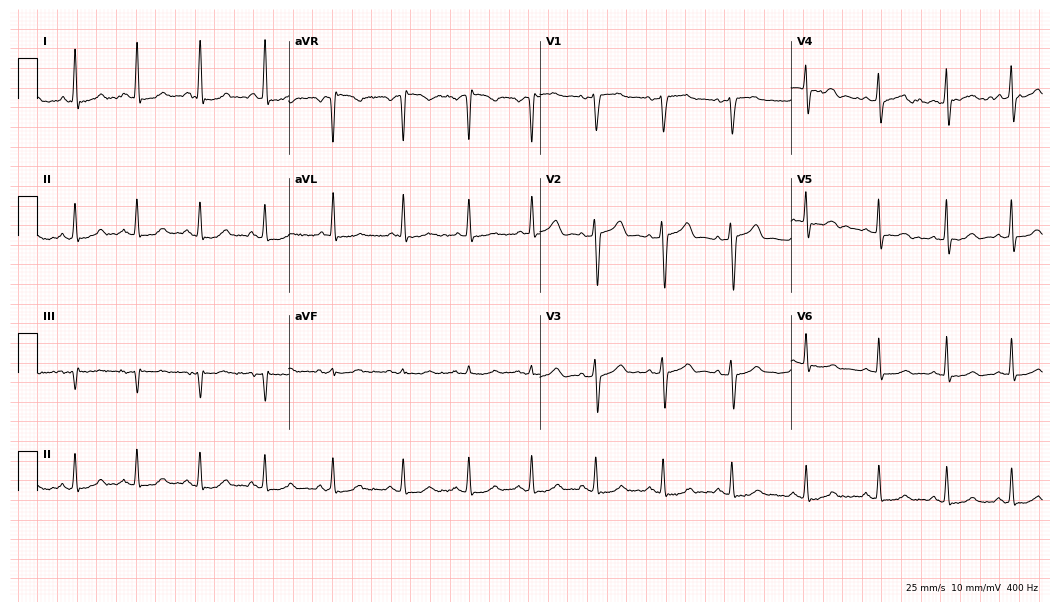
Electrocardiogram, a 43-year-old woman. Overall reading on record: normal ECG.